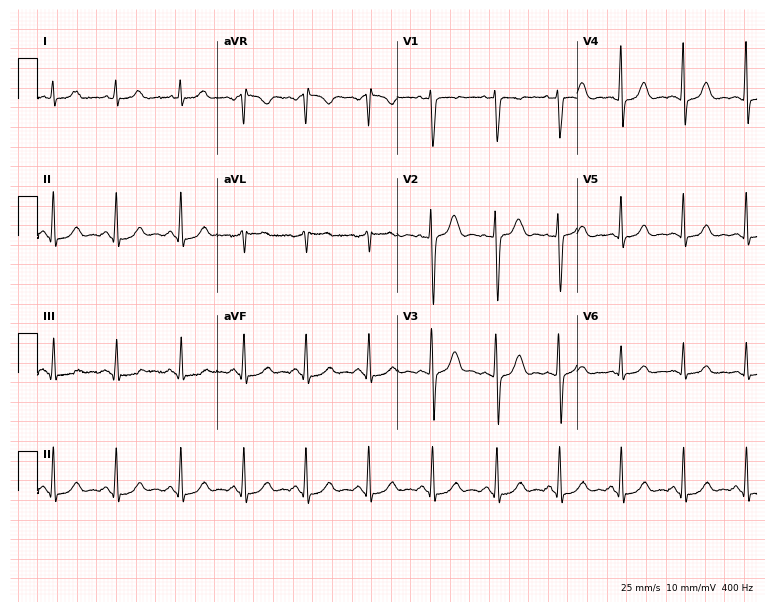
12-lead ECG from a woman, 39 years old. No first-degree AV block, right bundle branch block, left bundle branch block, sinus bradycardia, atrial fibrillation or sinus tachycardia recorded for this tracing.